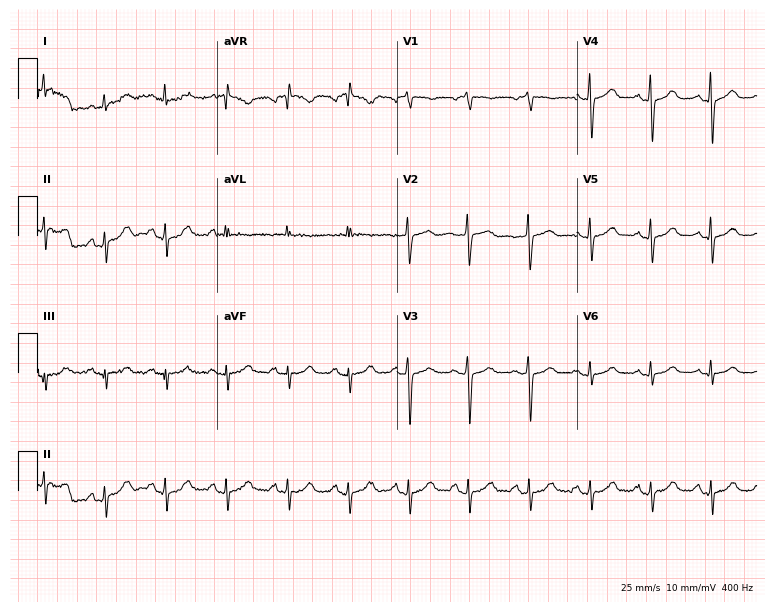
Resting 12-lead electrocardiogram (7.3-second recording at 400 Hz). Patient: a 79-year-old female. None of these six findings is recorded: first-degree AV block, right bundle branch block (RBBB), left bundle branch block (LBBB), sinus bradycardia, atrial fibrillation (AF), sinus tachycardia.